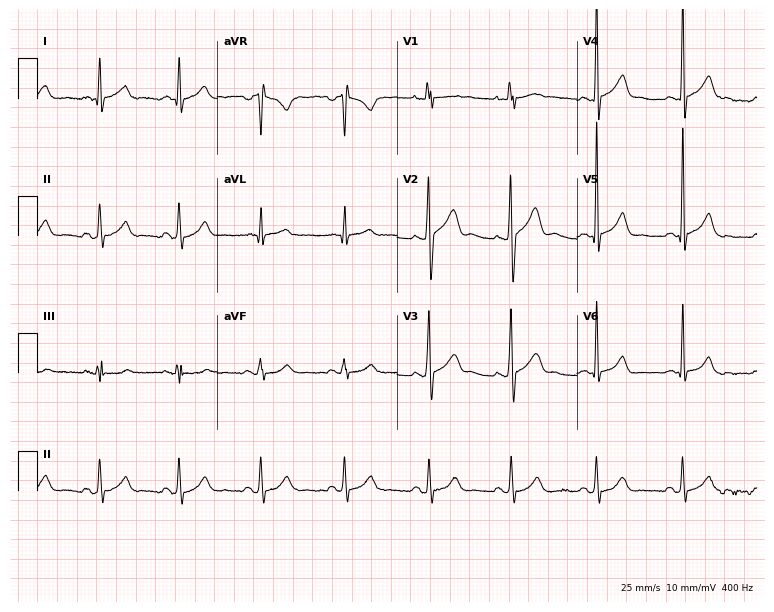
Resting 12-lead electrocardiogram (7.3-second recording at 400 Hz). Patient: a 34-year-old male. Read as a normal ECG.